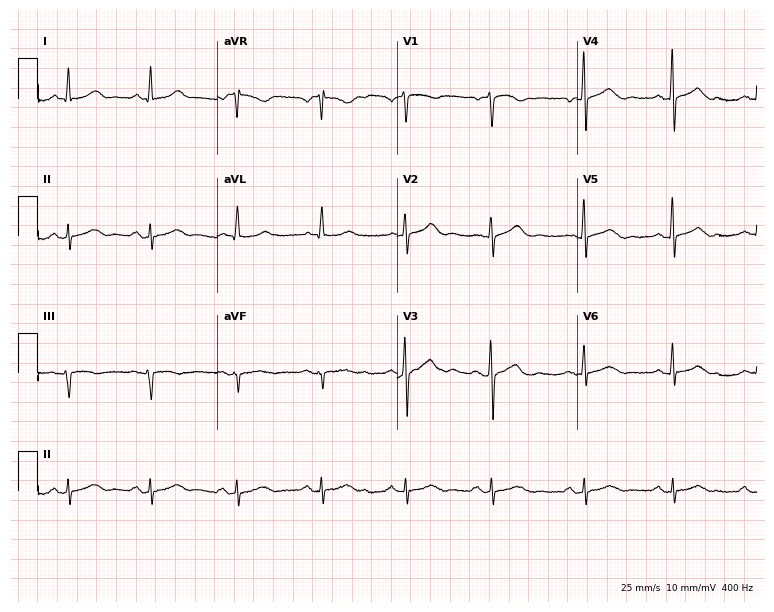
12-lead ECG (7.3-second recording at 400 Hz) from a 55-year-old female patient. Labelled as a normal ECG.